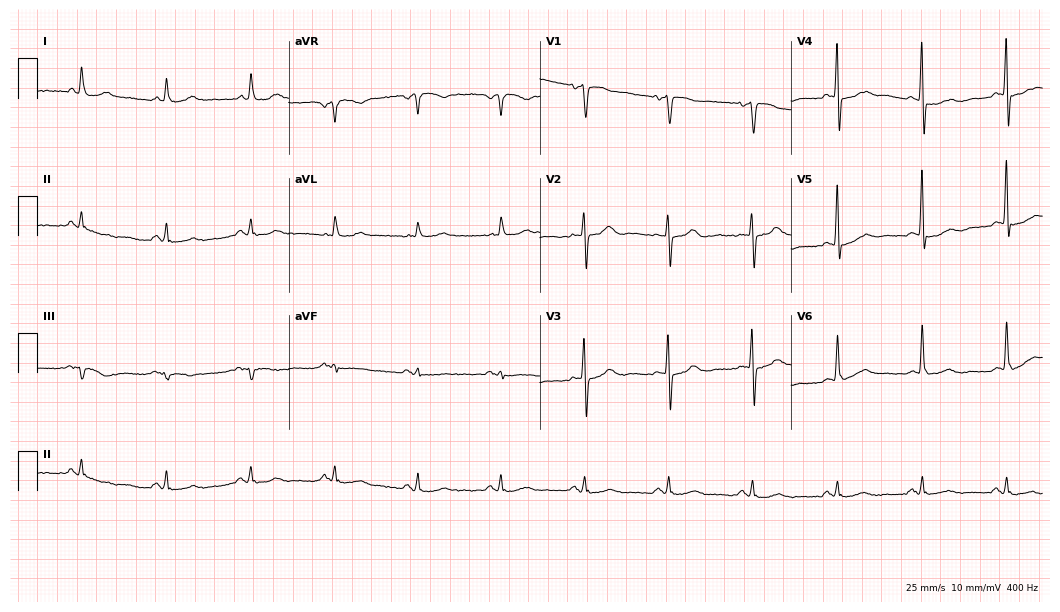
Resting 12-lead electrocardiogram. Patient: a man, 71 years old. None of these six findings is recorded: first-degree AV block, right bundle branch block, left bundle branch block, sinus bradycardia, atrial fibrillation, sinus tachycardia.